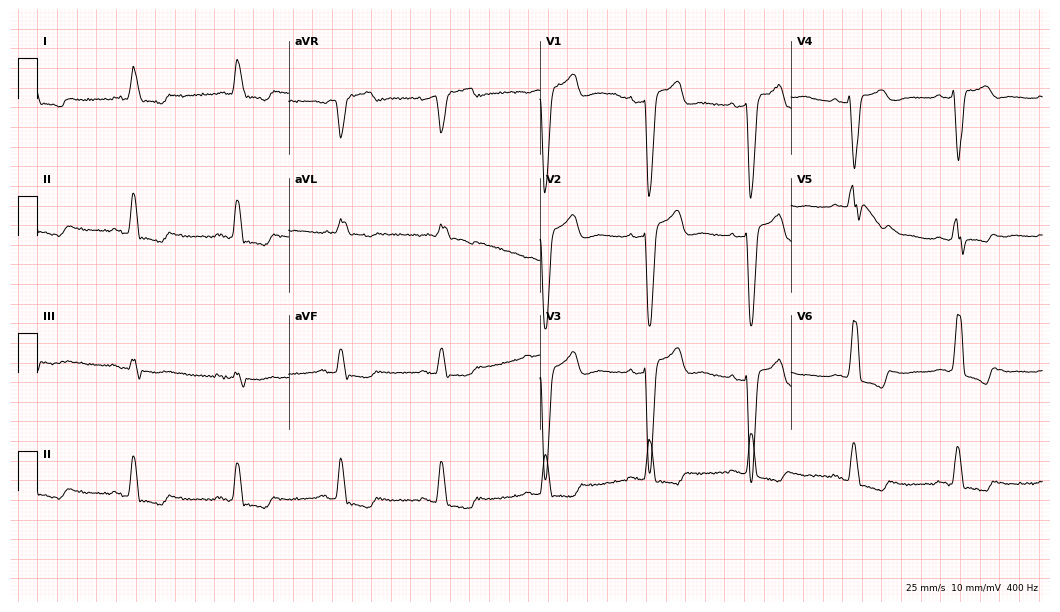
Standard 12-lead ECG recorded from a man, 66 years old (10.2-second recording at 400 Hz). The tracing shows left bundle branch block.